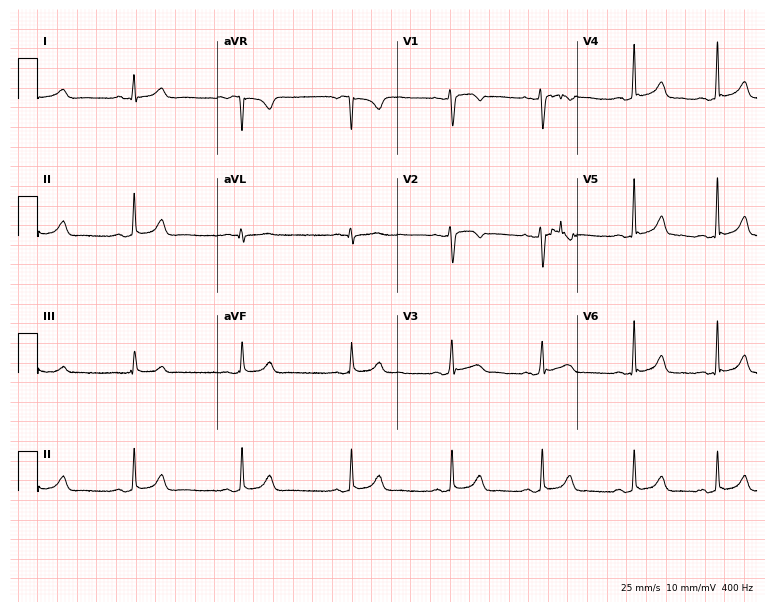
12-lead ECG from a 20-year-old female patient. Recorded interpretation: within normal limits.